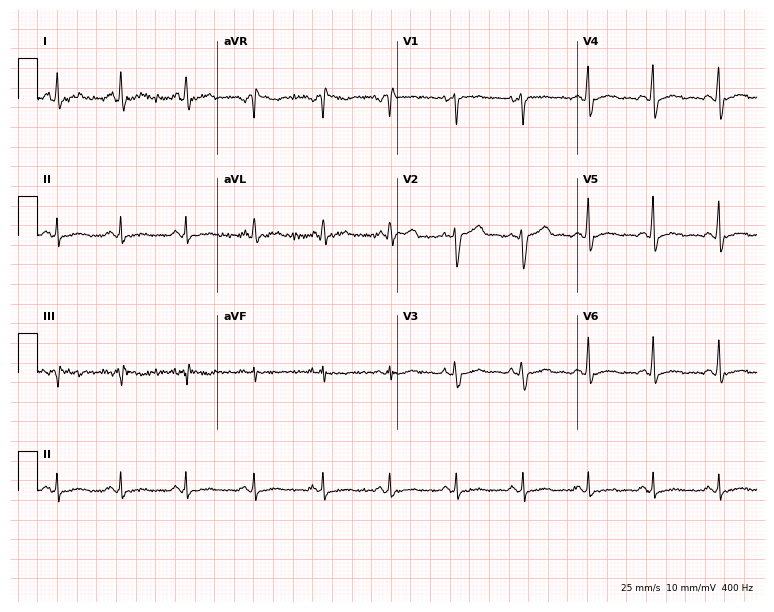
Resting 12-lead electrocardiogram. Patient: a man, 57 years old. Read as a normal ECG.